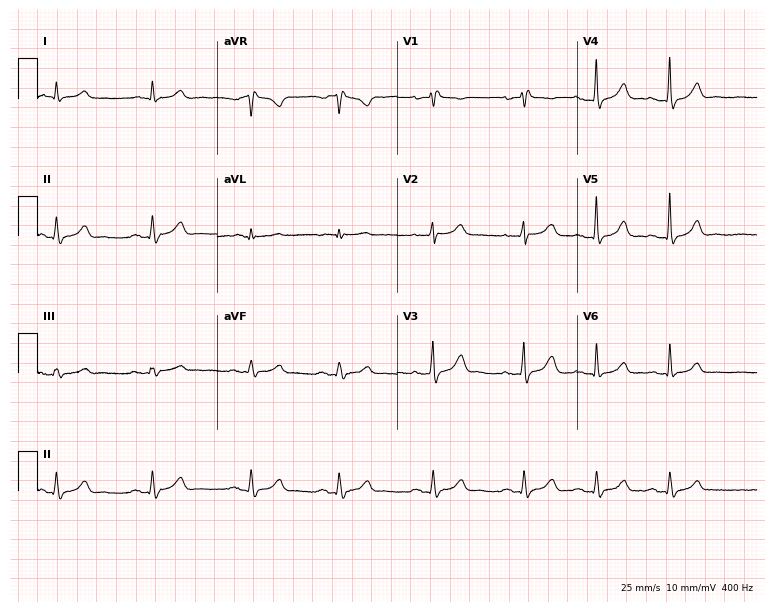
ECG (7.3-second recording at 400 Hz) — a 74-year-old male. Screened for six findings — first-degree AV block, right bundle branch block (RBBB), left bundle branch block (LBBB), sinus bradycardia, atrial fibrillation (AF), sinus tachycardia — none is recorded.